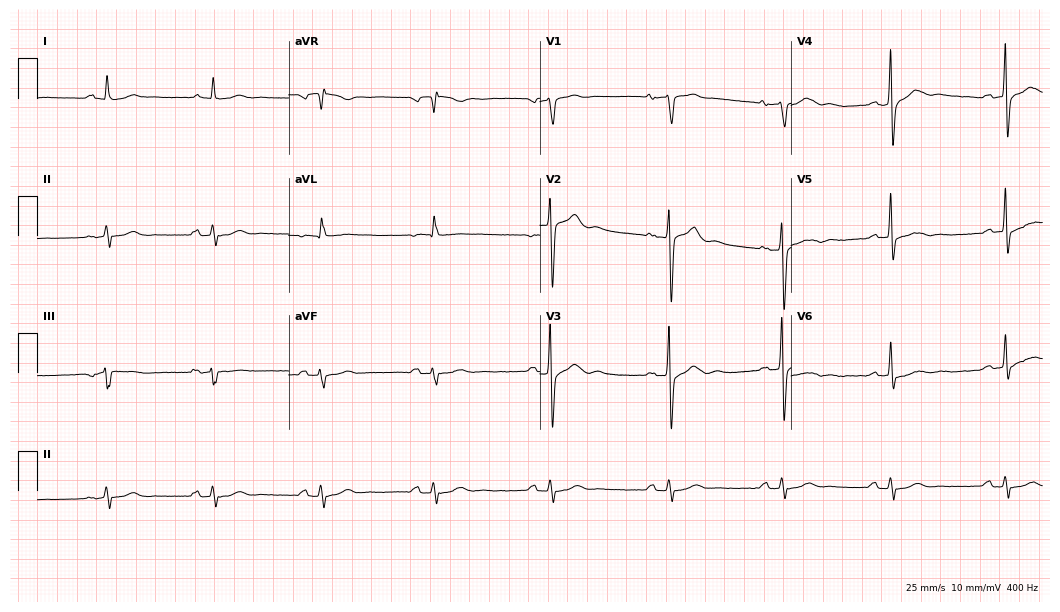
12-lead ECG (10.2-second recording at 400 Hz) from a 71-year-old male. Screened for six findings — first-degree AV block, right bundle branch block, left bundle branch block, sinus bradycardia, atrial fibrillation, sinus tachycardia — none is recorded.